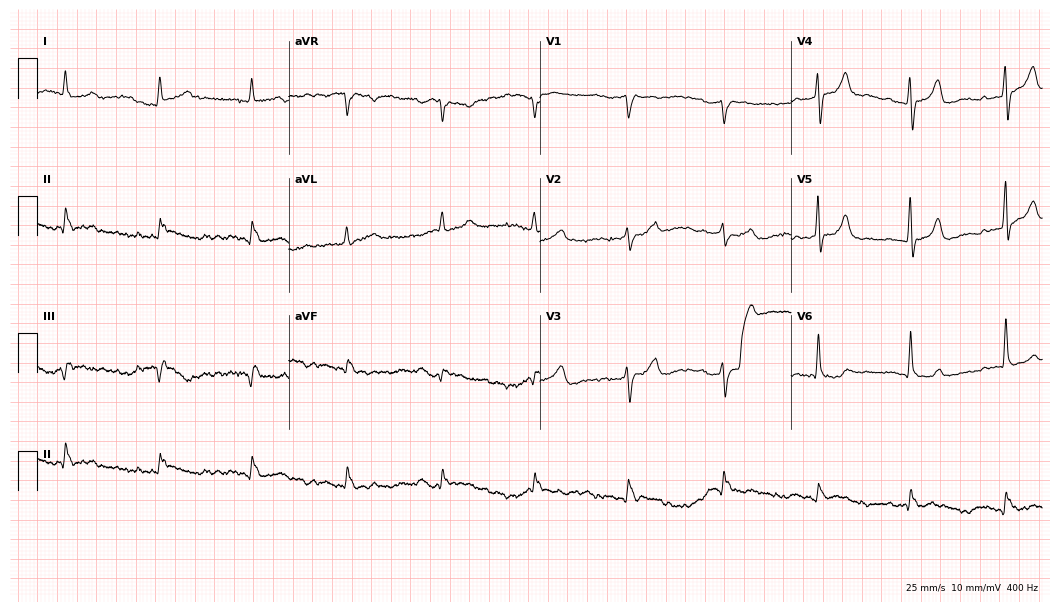
12-lead ECG (10.2-second recording at 400 Hz) from an 84-year-old male. Screened for six findings — first-degree AV block, right bundle branch block, left bundle branch block, sinus bradycardia, atrial fibrillation, sinus tachycardia — none is recorded. Findings outside these six are not listed.